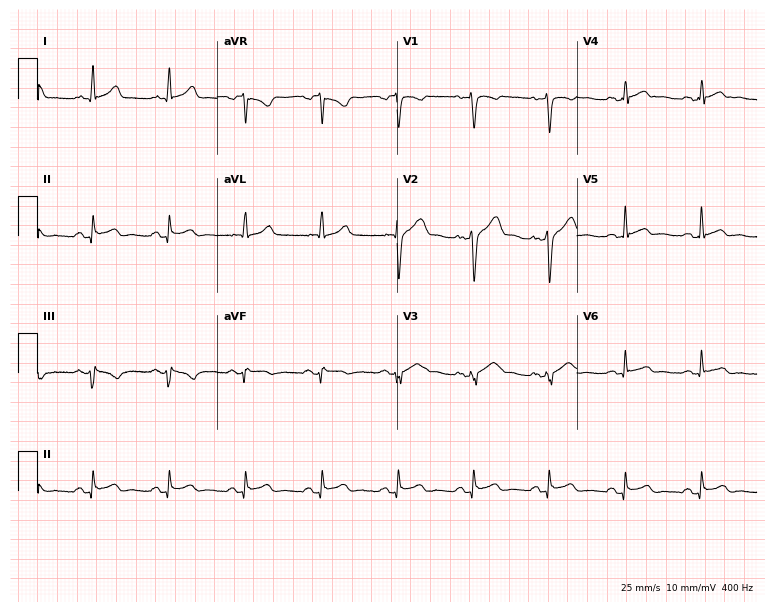
ECG — a male, 35 years old. Screened for six findings — first-degree AV block, right bundle branch block, left bundle branch block, sinus bradycardia, atrial fibrillation, sinus tachycardia — none is recorded.